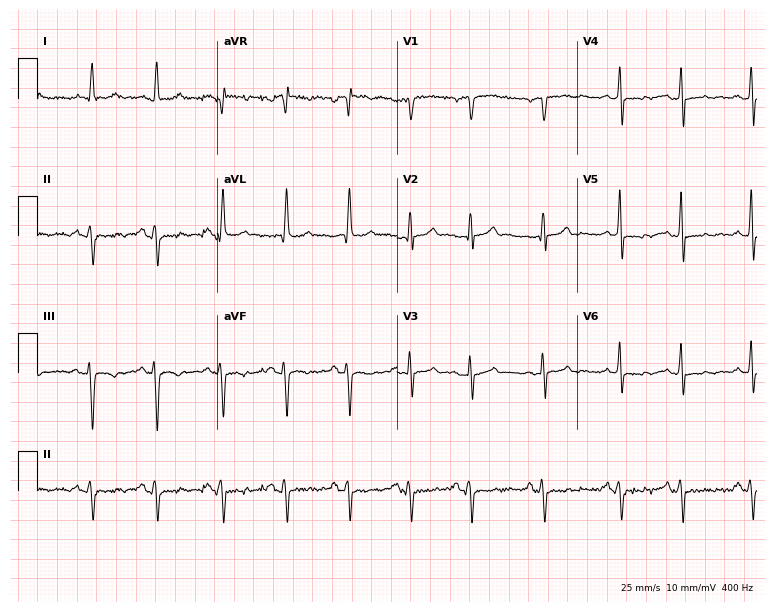
Standard 12-lead ECG recorded from a man, 74 years old (7.3-second recording at 400 Hz). None of these six findings is recorded: first-degree AV block, right bundle branch block, left bundle branch block, sinus bradycardia, atrial fibrillation, sinus tachycardia. Other findings, if any, are not listed.